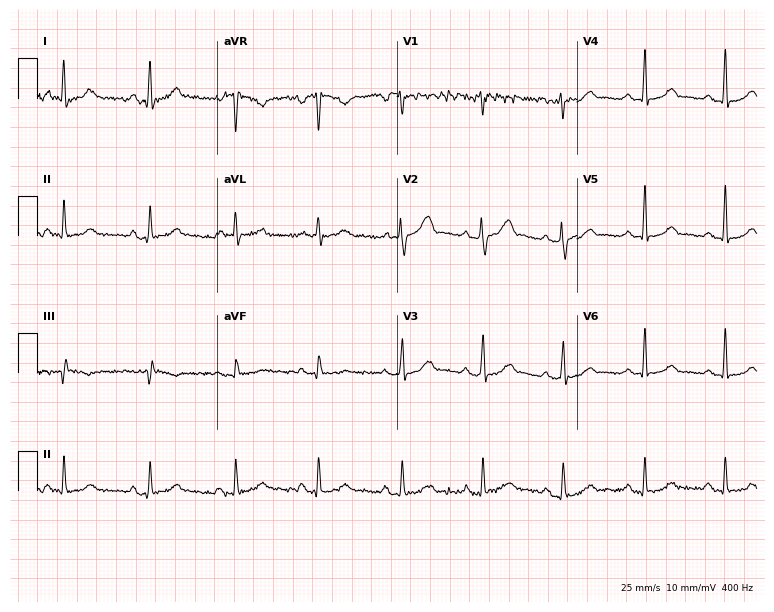
12-lead ECG from a 51-year-old woman. Recorded interpretation: within normal limits.